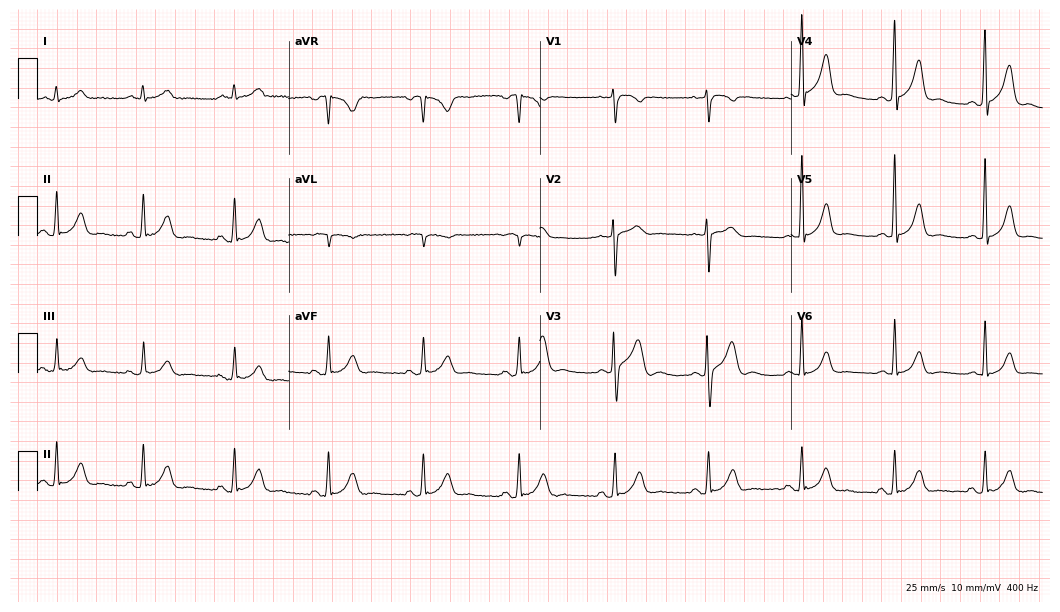
ECG — a male patient, 56 years old. Labelled as a normal ECG.